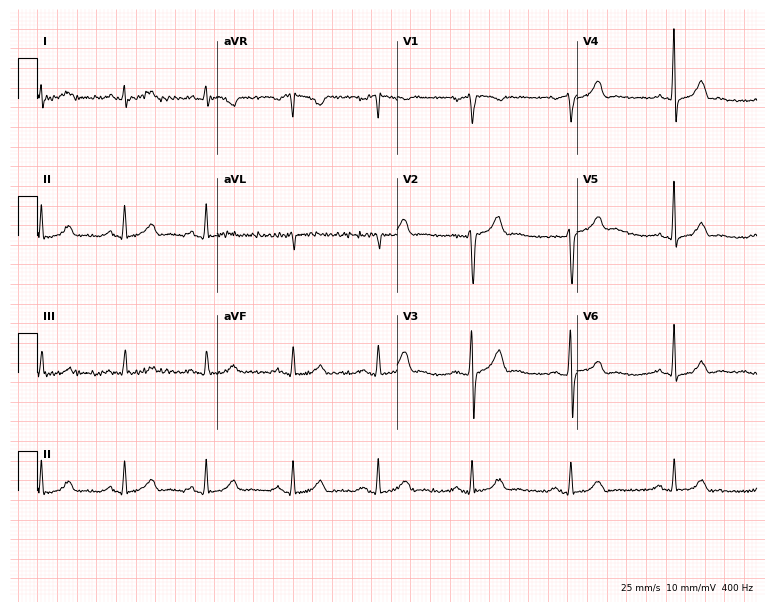
ECG (7.3-second recording at 400 Hz) — a 37-year-old man. Labelled as a normal ECG.